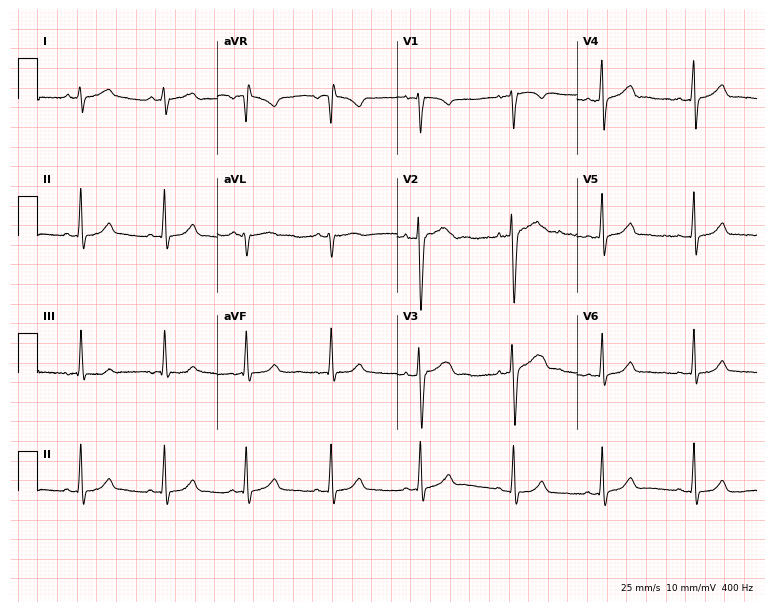
ECG (7.3-second recording at 400 Hz) — a 20-year-old female. Labelled as a normal ECG.